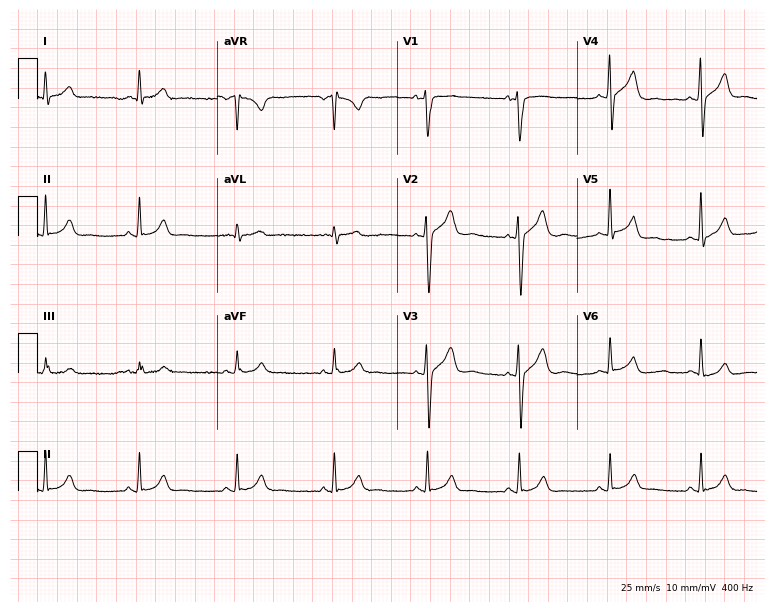
12-lead ECG from a male patient, 46 years old (7.3-second recording at 400 Hz). Recorded interpretation: within normal limits.